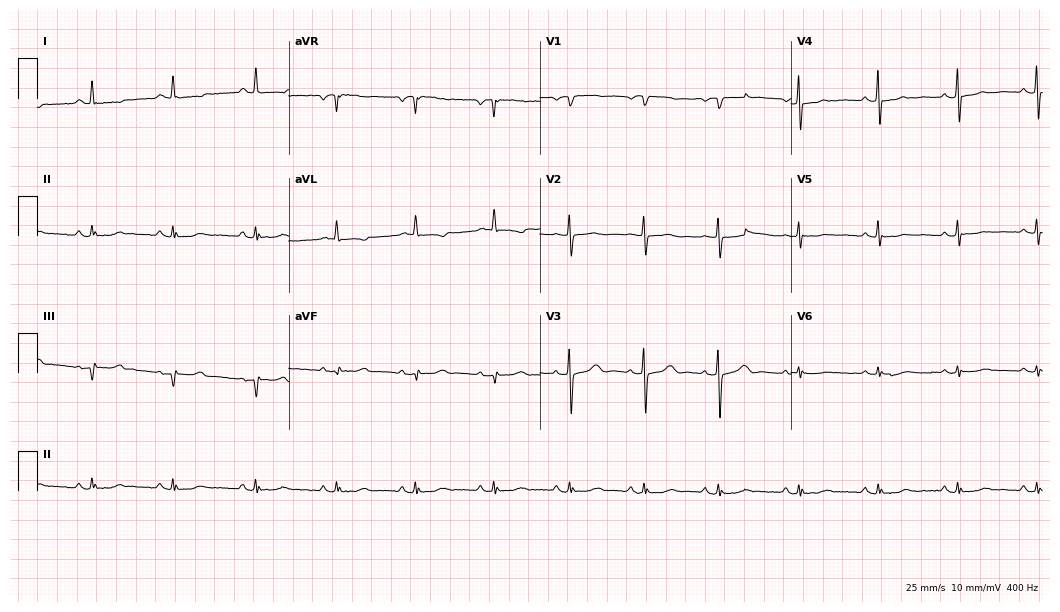
Electrocardiogram (10.2-second recording at 400 Hz), a female patient, 71 years old. Of the six screened findings (first-degree AV block, right bundle branch block (RBBB), left bundle branch block (LBBB), sinus bradycardia, atrial fibrillation (AF), sinus tachycardia), none is recorded.